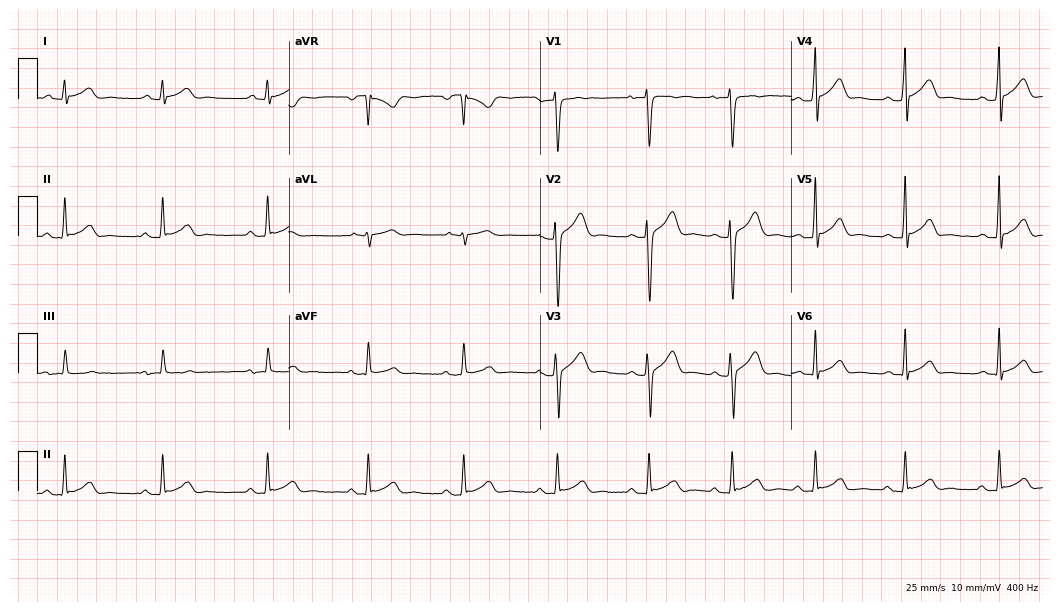
ECG (10.2-second recording at 400 Hz) — a male, 35 years old. Labelled as a normal ECG.